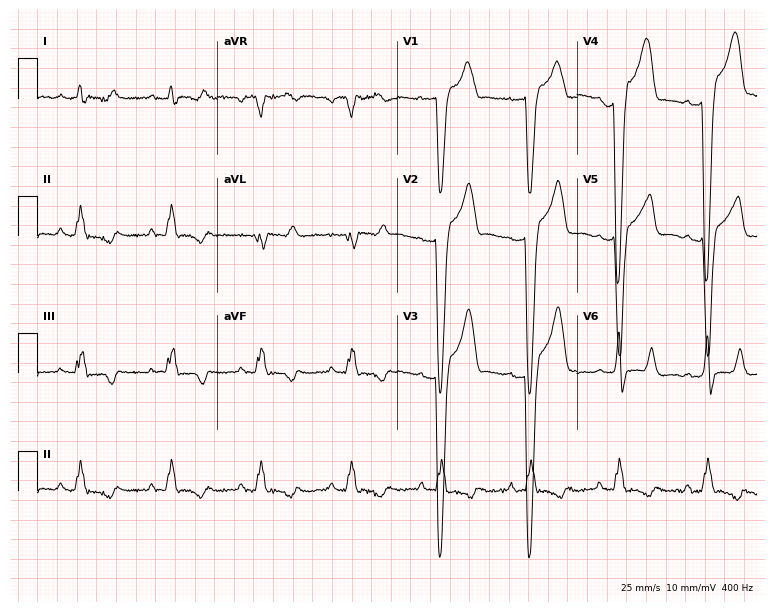
Electrocardiogram, a 50-year-old male. Interpretation includes left bundle branch block (LBBB).